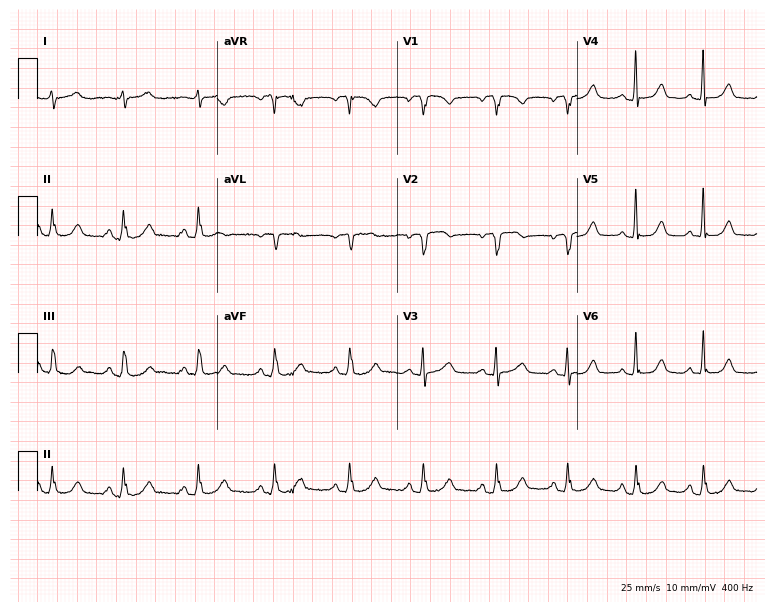
Standard 12-lead ECG recorded from a female patient, 49 years old (7.3-second recording at 400 Hz). Read as a normal ECG.